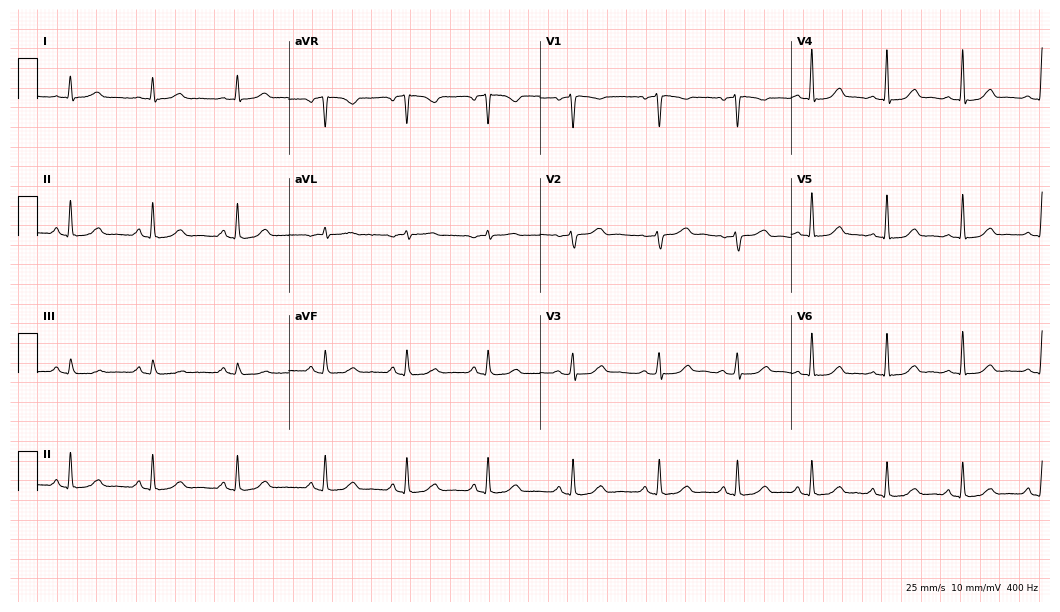
Electrocardiogram, a female patient, 48 years old. Overall reading on record: normal ECG.